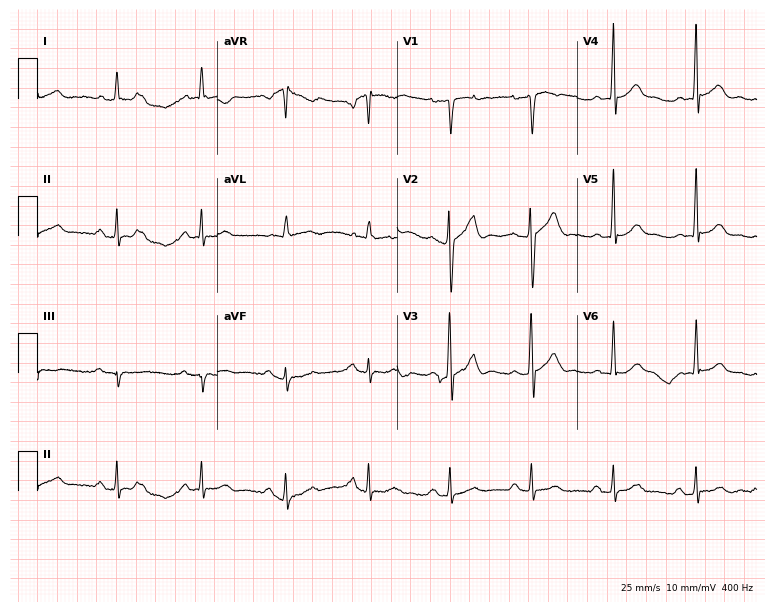
ECG — a male patient, 57 years old. Labelled as a normal ECG.